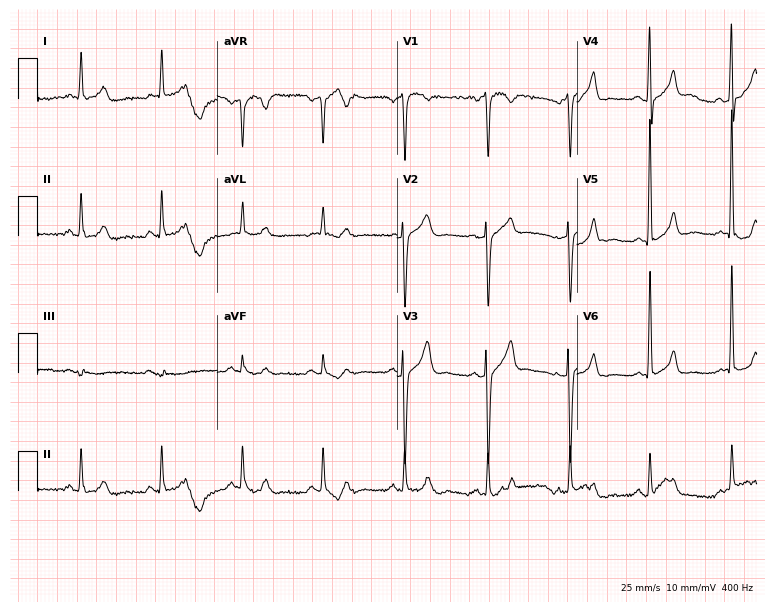
Standard 12-lead ECG recorded from a 66-year-old man. None of these six findings is recorded: first-degree AV block, right bundle branch block (RBBB), left bundle branch block (LBBB), sinus bradycardia, atrial fibrillation (AF), sinus tachycardia.